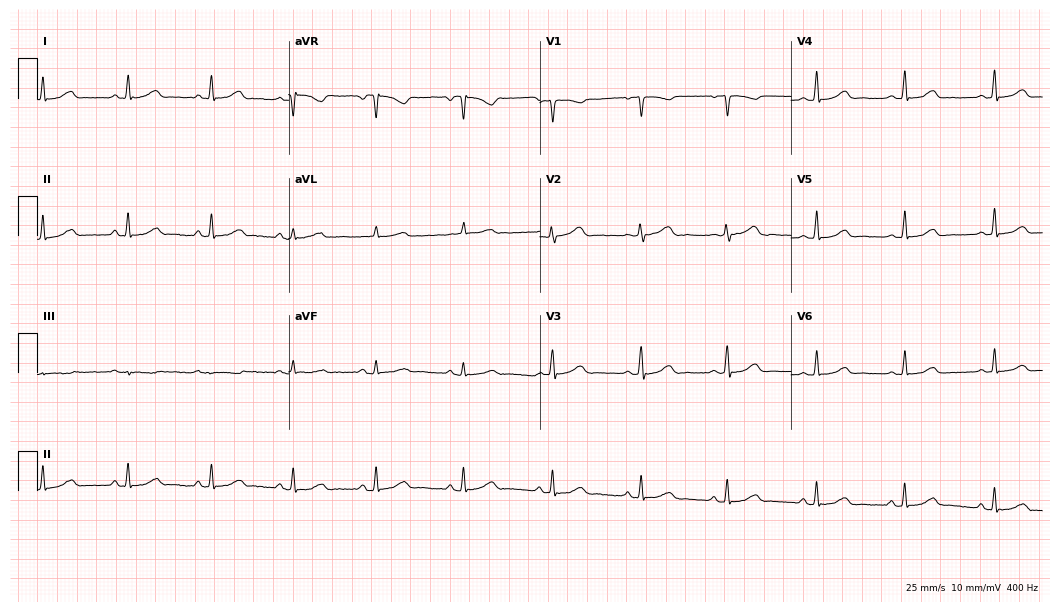
Resting 12-lead electrocardiogram. Patient: a 45-year-old female. Read as a normal ECG.